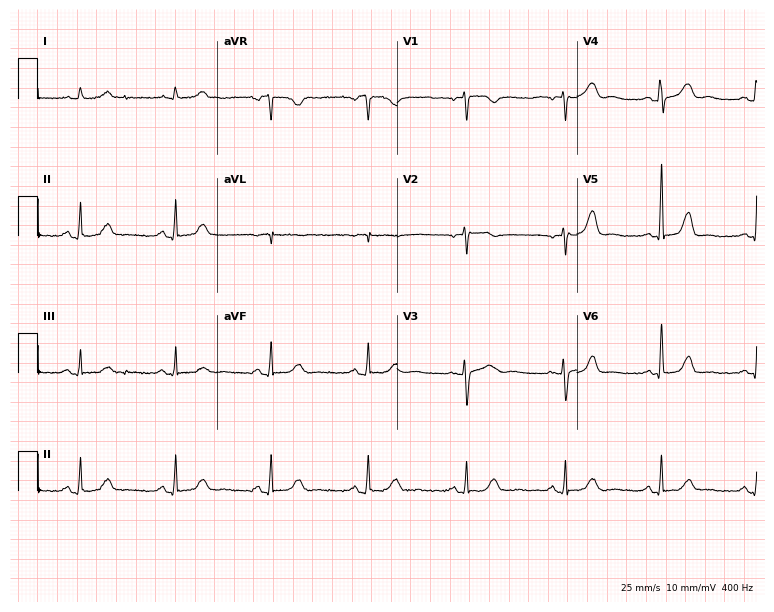
Resting 12-lead electrocardiogram. Patient: a 53-year-old woman. Read as a normal ECG.